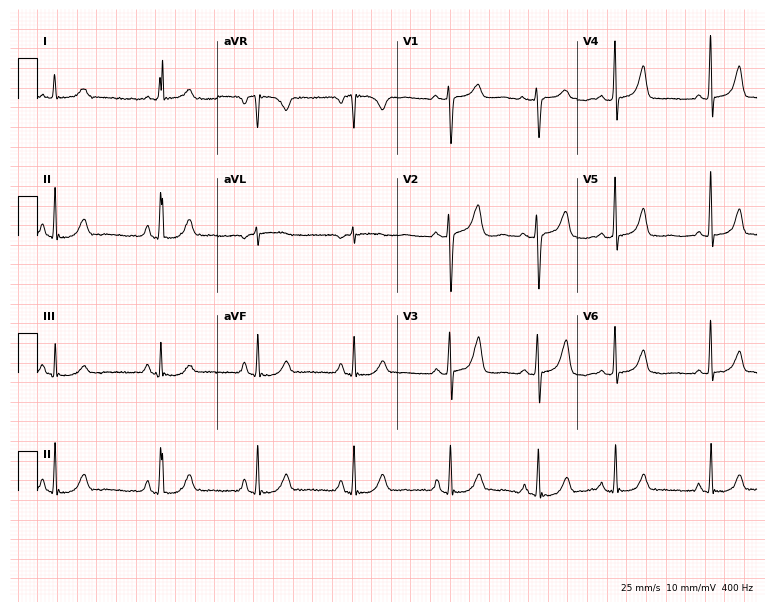
Electrocardiogram, a 67-year-old woman. Of the six screened findings (first-degree AV block, right bundle branch block, left bundle branch block, sinus bradycardia, atrial fibrillation, sinus tachycardia), none is recorded.